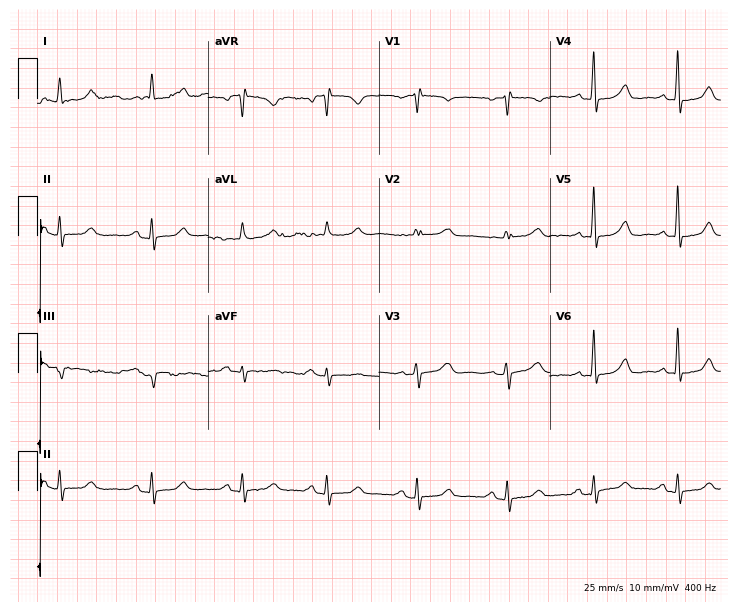
Standard 12-lead ECG recorded from a 73-year-old female patient (7-second recording at 400 Hz). None of these six findings is recorded: first-degree AV block, right bundle branch block, left bundle branch block, sinus bradycardia, atrial fibrillation, sinus tachycardia. Only these six findings were labelled.